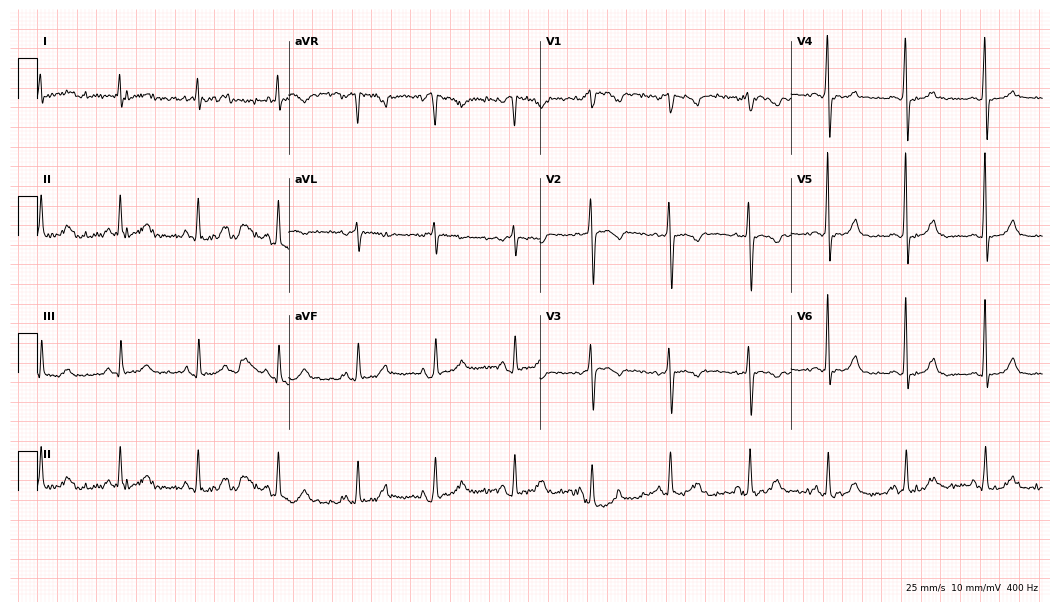
Resting 12-lead electrocardiogram. Patient: a 61-year-old female. None of these six findings is recorded: first-degree AV block, right bundle branch block, left bundle branch block, sinus bradycardia, atrial fibrillation, sinus tachycardia.